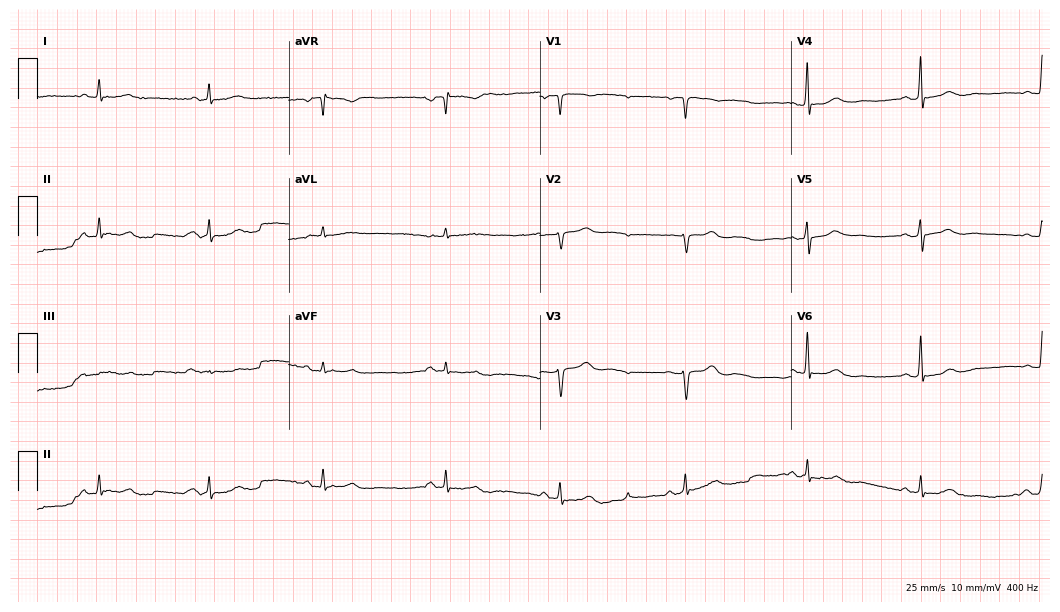
ECG (10.2-second recording at 400 Hz) — a 75-year-old female. Labelled as a normal ECG.